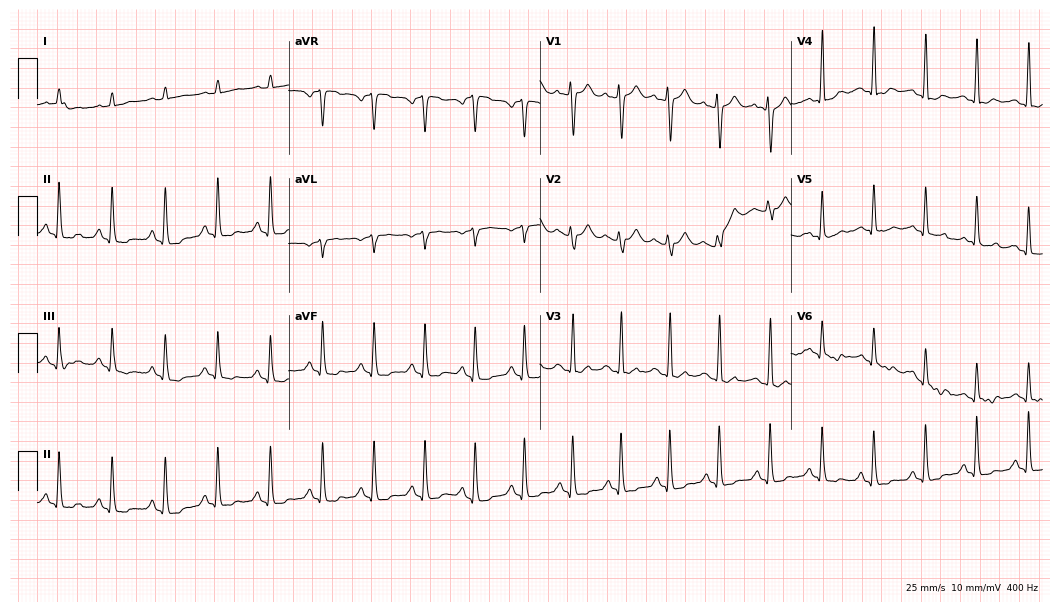
Electrocardiogram, a 22-year-old female. Interpretation includes sinus tachycardia (a sinus rate of 100 beats per minute or more).